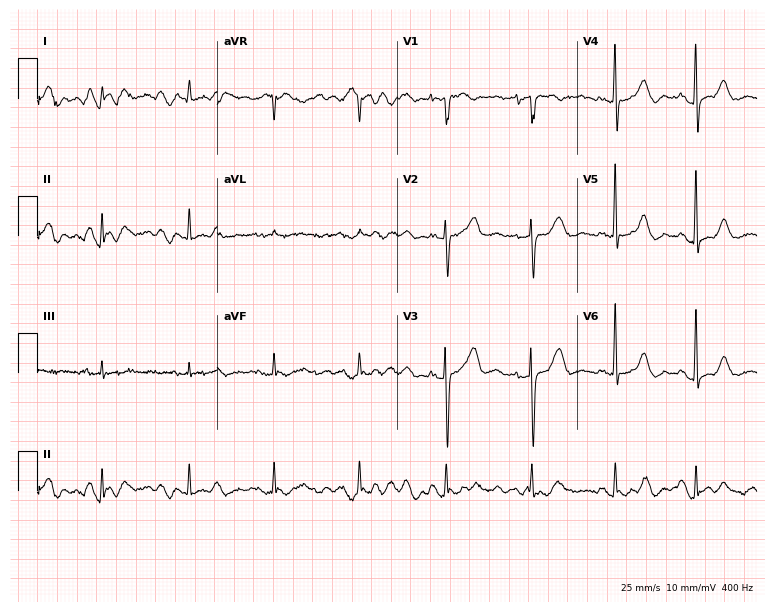
12-lead ECG from an 84-year-old woman. Recorded interpretation: within normal limits.